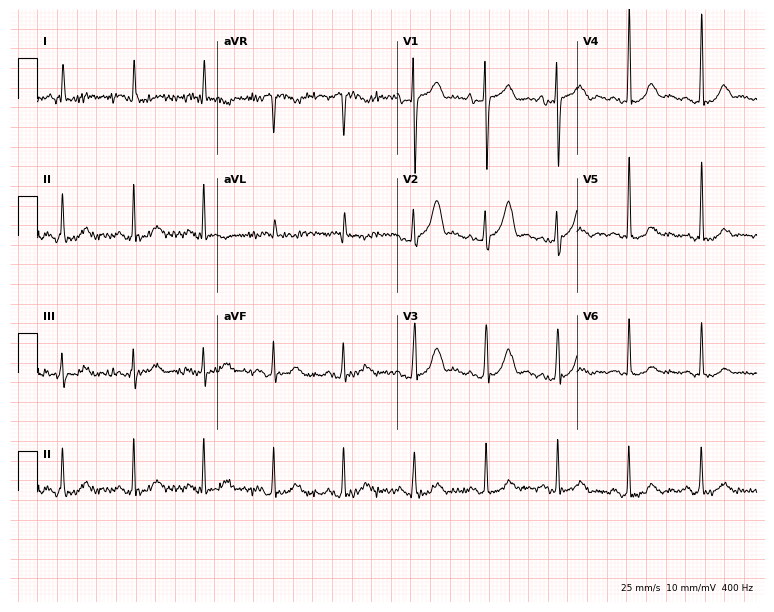
Electrocardiogram (7.3-second recording at 400 Hz), a female patient, 72 years old. Of the six screened findings (first-degree AV block, right bundle branch block, left bundle branch block, sinus bradycardia, atrial fibrillation, sinus tachycardia), none is recorded.